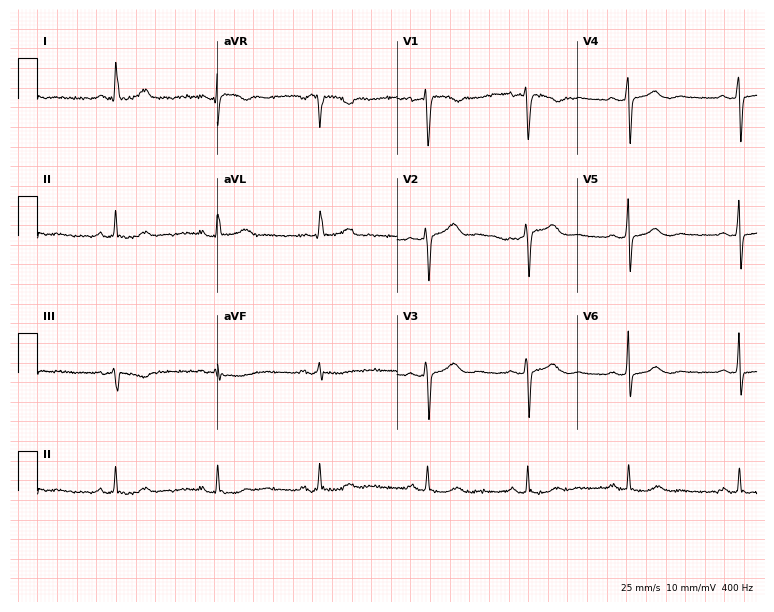
Electrocardiogram (7.3-second recording at 400 Hz), a female patient, 43 years old. Of the six screened findings (first-degree AV block, right bundle branch block, left bundle branch block, sinus bradycardia, atrial fibrillation, sinus tachycardia), none is recorded.